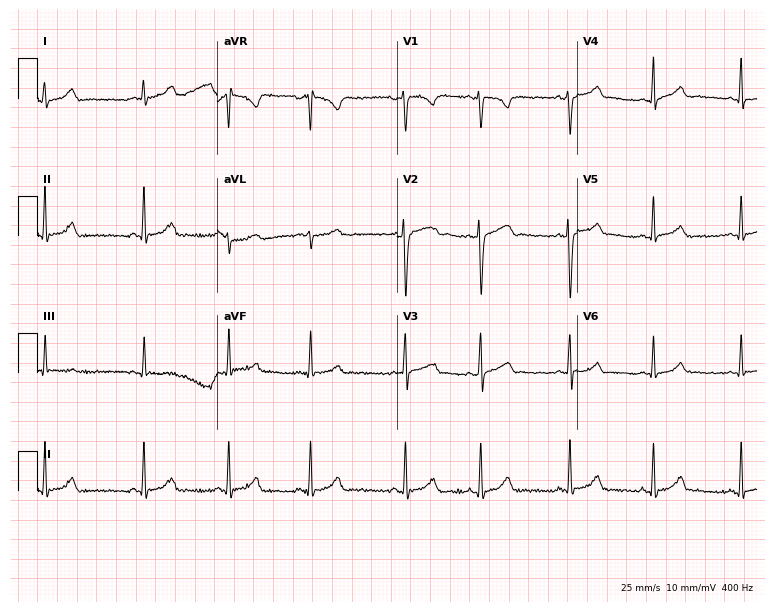
Electrocardiogram, an 18-year-old female patient. Overall reading on record: normal ECG.